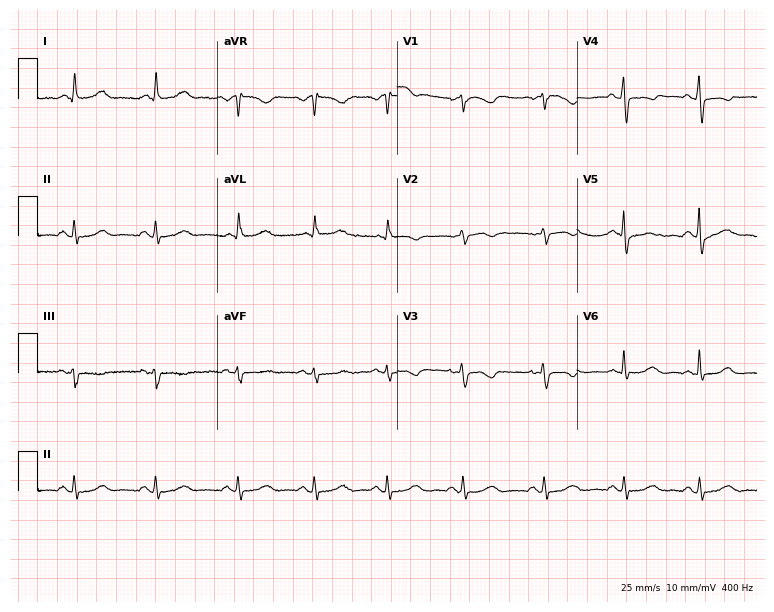
12-lead ECG (7.3-second recording at 400 Hz) from a 51-year-old female patient. Screened for six findings — first-degree AV block, right bundle branch block (RBBB), left bundle branch block (LBBB), sinus bradycardia, atrial fibrillation (AF), sinus tachycardia — none is recorded. Other findings, if any, are not listed.